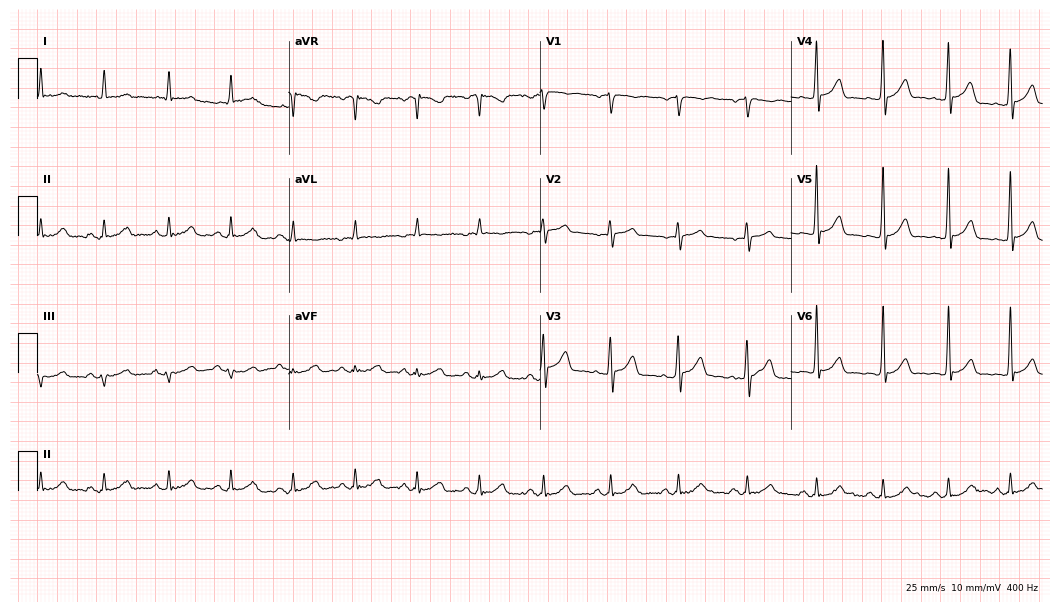
Resting 12-lead electrocardiogram (10.2-second recording at 400 Hz). Patient: a 71-year-old man. None of these six findings is recorded: first-degree AV block, right bundle branch block, left bundle branch block, sinus bradycardia, atrial fibrillation, sinus tachycardia. Findings outside these six are not listed.